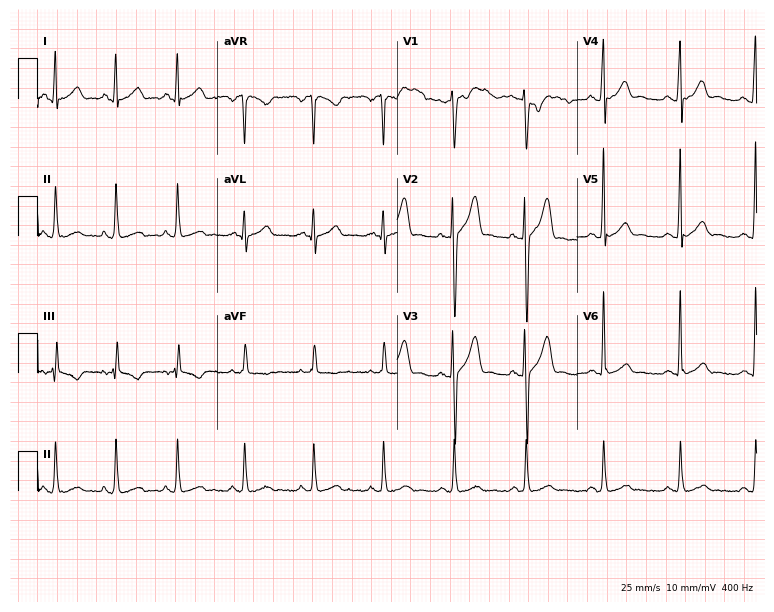
Resting 12-lead electrocardiogram (7.3-second recording at 400 Hz). Patient: a male, 25 years old. None of these six findings is recorded: first-degree AV block, right bundle branch block, left bundle branch block, sinus bradycardia, atrial fibrillation, sinus tachycardia. Other findings, if any, are not listed.